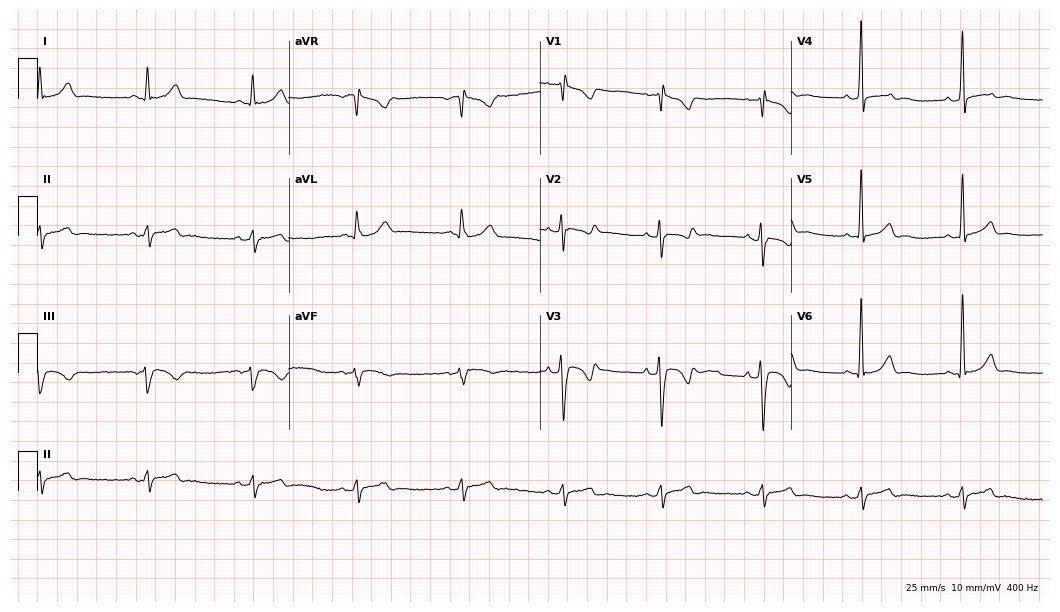
12-lead ECG from a male, 28 years old. Screened for six findings — first-degree AV block, right bundle branch block, left bundle branch block, sinus bradycardia, atrial fibrillation, sinus tachycardia — none is recorded. Findings outside these six are not listed.